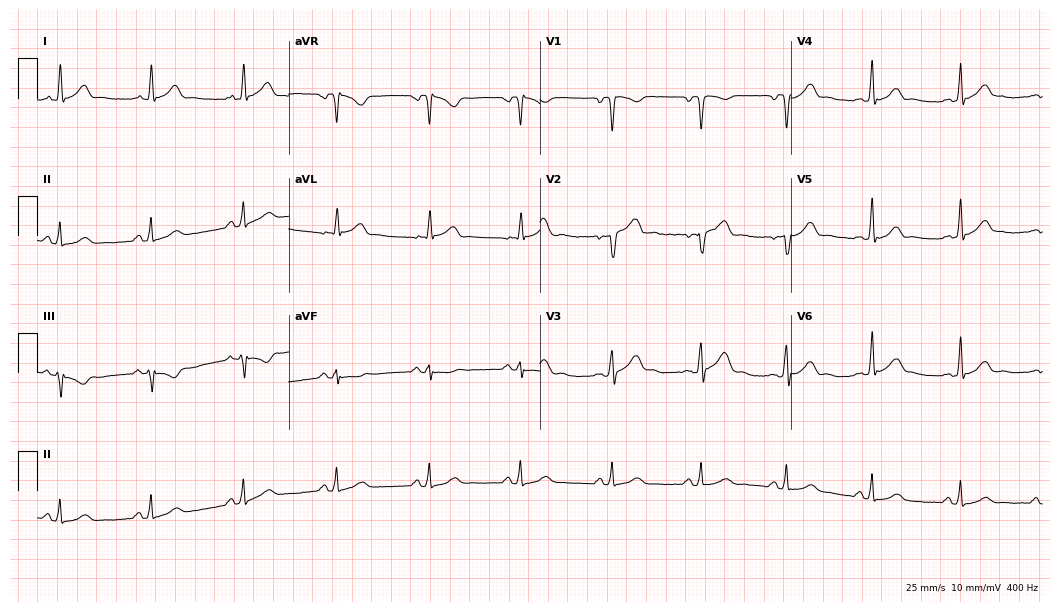
ECG (10.2-second recording at 400 Hz) — a male patient, 36 years old. Labelled as a normal ECG.